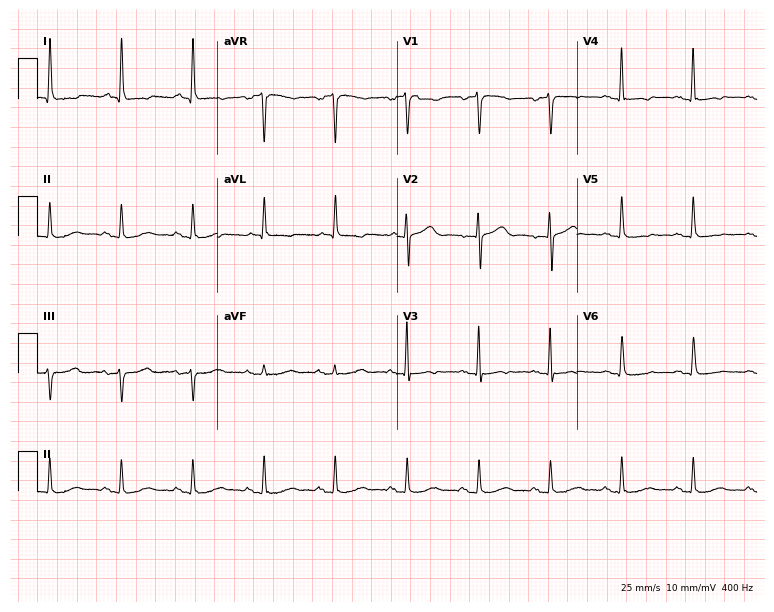
Standard 12-lead ECG recorded from an 81-year-old female patient. None of these six findings is recorded: first-degree AV block, right bundle branch block (RBBB), left bundle branch block (LBBB), sinus bradycardia, atrial fibrillation (AF), sinus tachycardia.